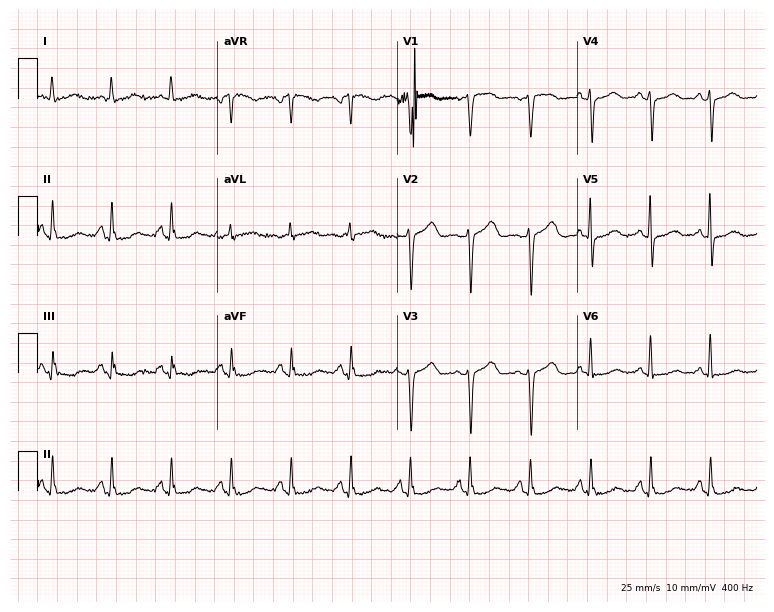
Electrocardiogram (7.3-second recording at 400 Hz), a 62-year-old woman. Of the six screened findings (first-degree AV block, right bundle branch block, left bundle branch block, sinus bradycardia, atrial fibrillation, sinus tachycardia), none is recorded.